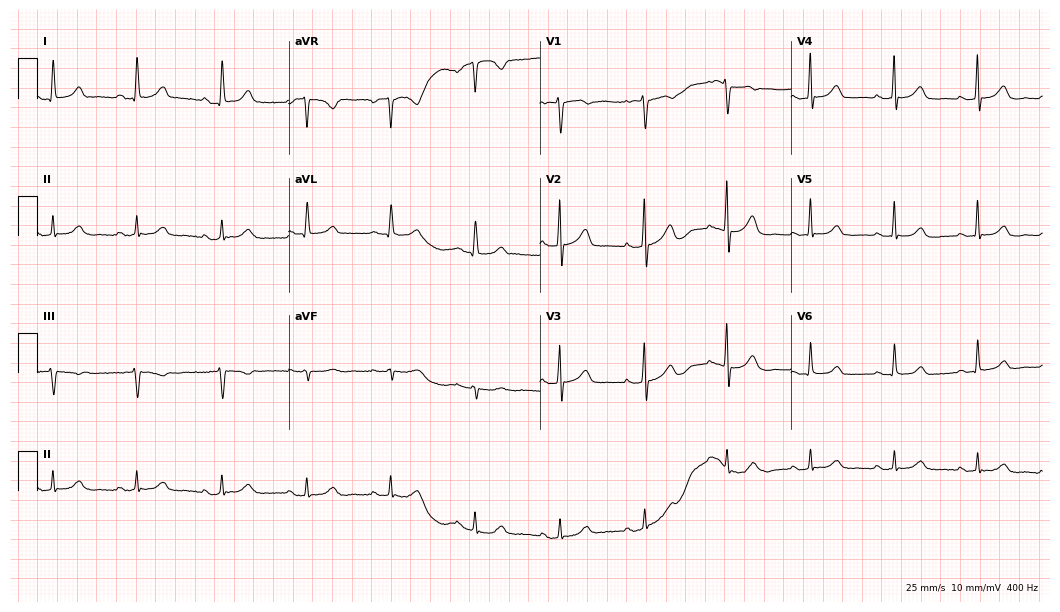
Standard 12-lead ECG recorded from a 51-year-old female patient. Read as a normal ECG.